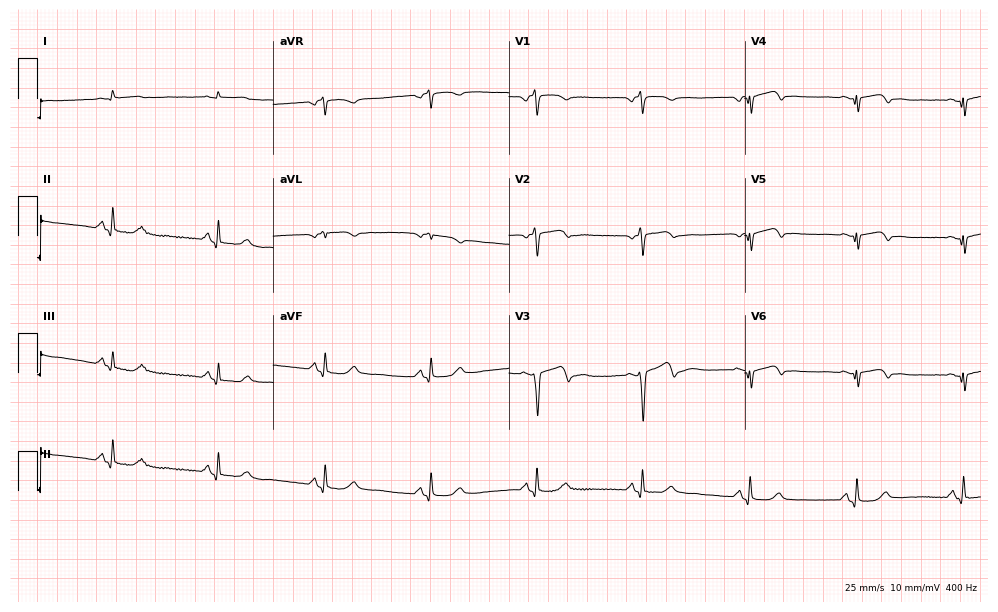
Standard 12-lead ECG recorded from an 82-year-old male patient. None of these six findings is recorded: first-degree AV block, right bundle branch block, left bundle branch block, sinus bradycardia, atrial fibrillation, sinus tachycardia. Other findings, if any, are not listed.